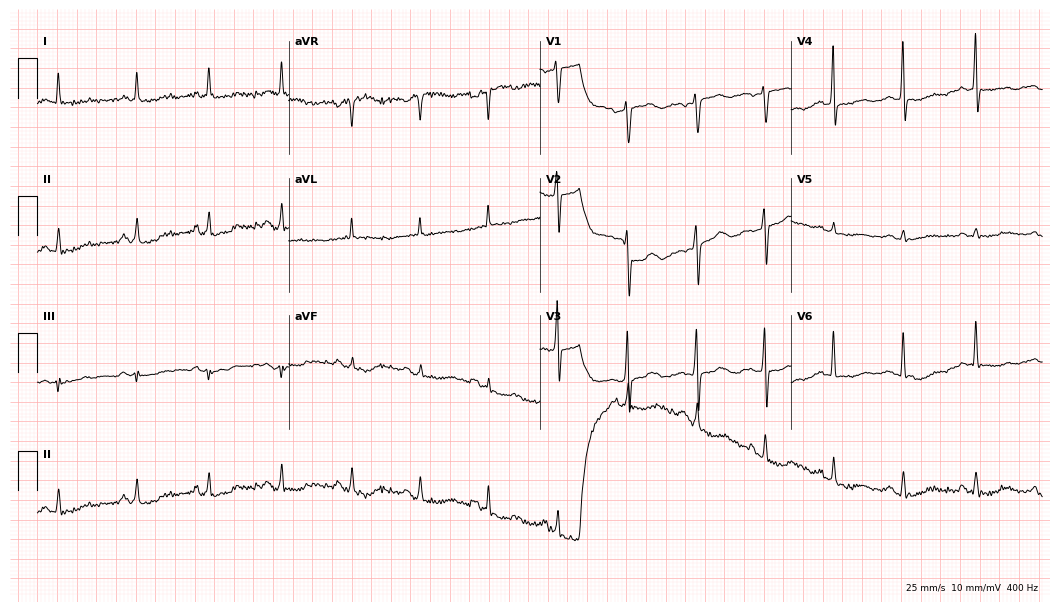
ECG (10.2-second recording at 400 Hz) — a 76-year-old female patient. Screened for six findings — first-degree AV block, right bundle branch block (RBBB), left bundle branch block (LBBB), sinus bradycardia, atrial fibrillation (AF), sinus tachycardia — none is recorded. Only these six findings were labelled.